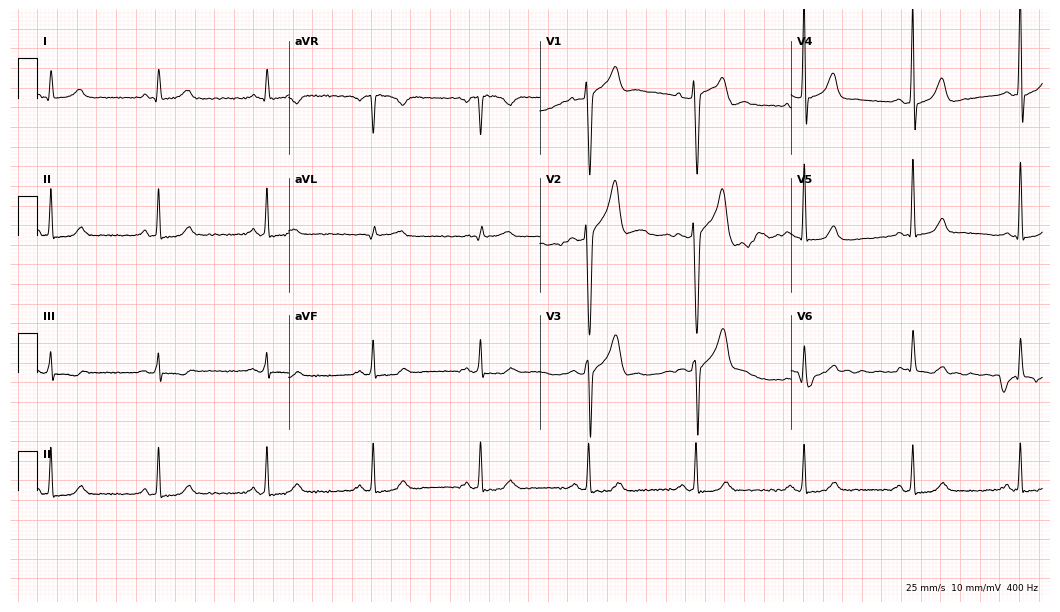
Electrocardiogram, a male patient, 50 years old. Overall reading on record: normal ECG.